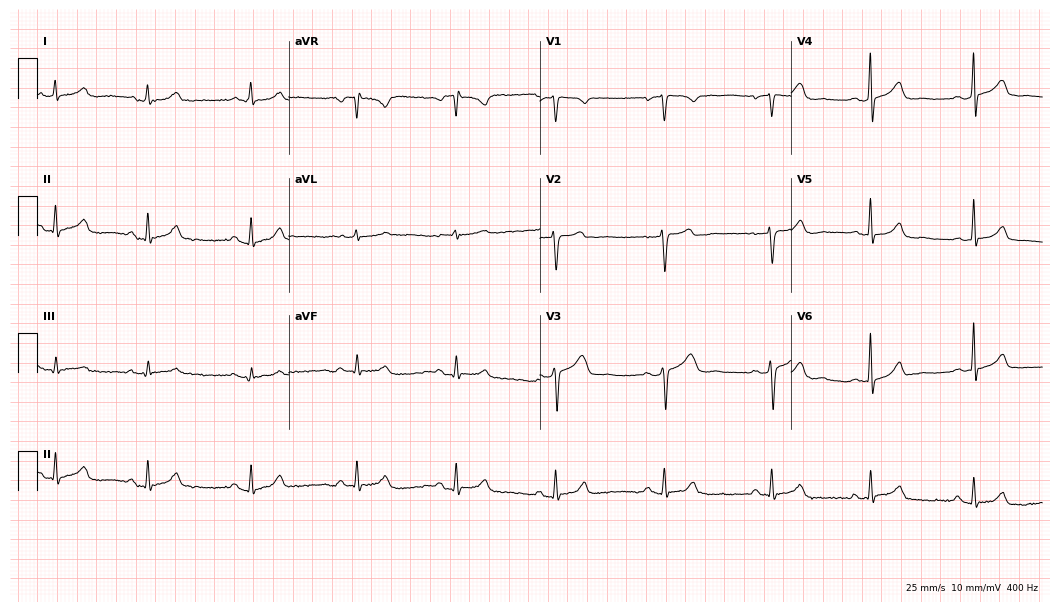
Electrocardiogram (10.2-second recording at 400 Hz), a woman, 41 years old. Overall reading on record: normal ECG.